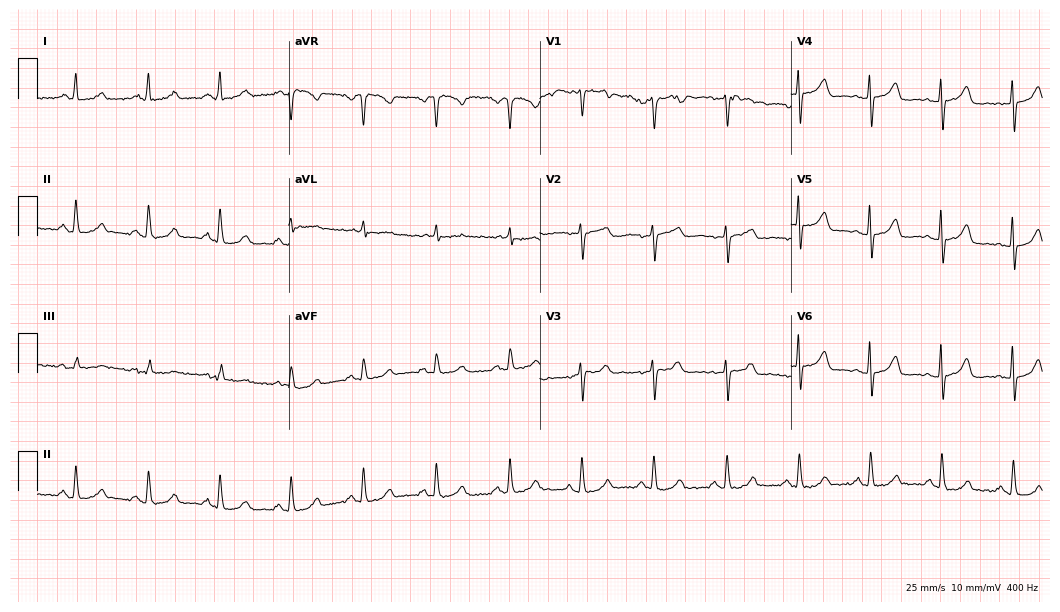
12-lead ECG (10.2-second recording at 400 Hz) from a female patient, 56 years old. Labelled as a normal ECG.